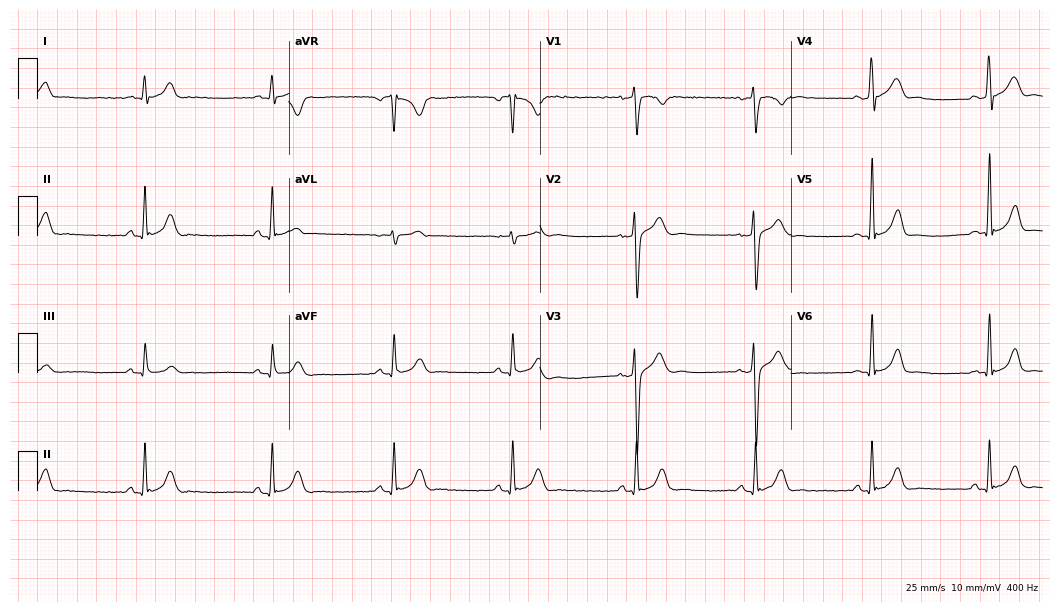
ECG — a 19-year-old male. Screened for six findings — first-degree AV block, right bundle branch block (RBBB), left bundle branch block (LBBB), sinus bradycardia, atrial fibrillation (AF), sinus tachycardia — none is recorded.